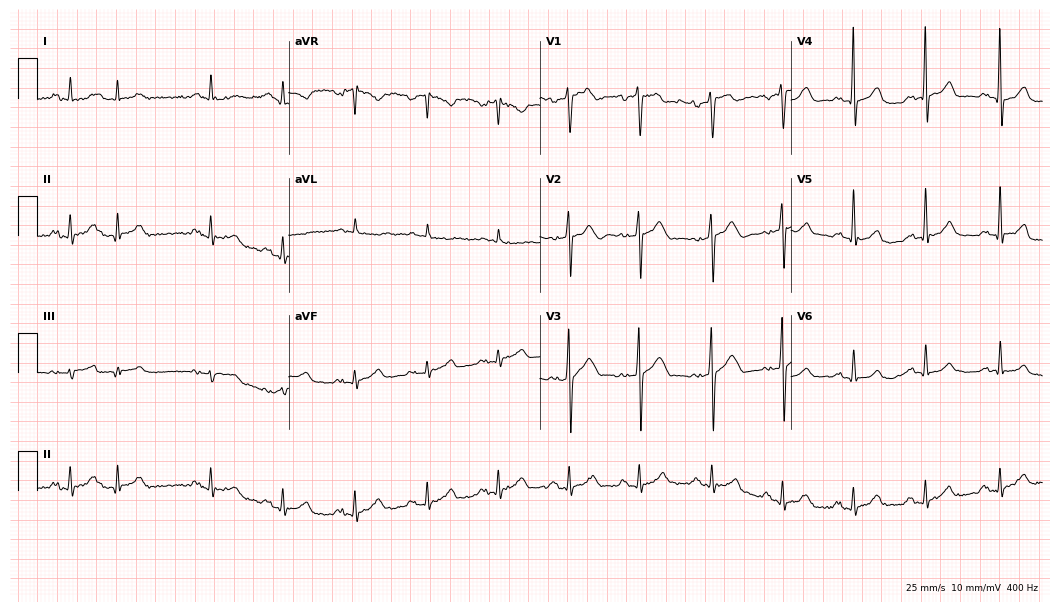
12-lead ECG from a male patient, 33 years old. Screened for six findings — first-degree AV block, right bundle branch block, left bundle branch block, sinus bradycardia, atrial fibrillation, sinus tachycardia — none is recorded. Only these six findings were labelled.